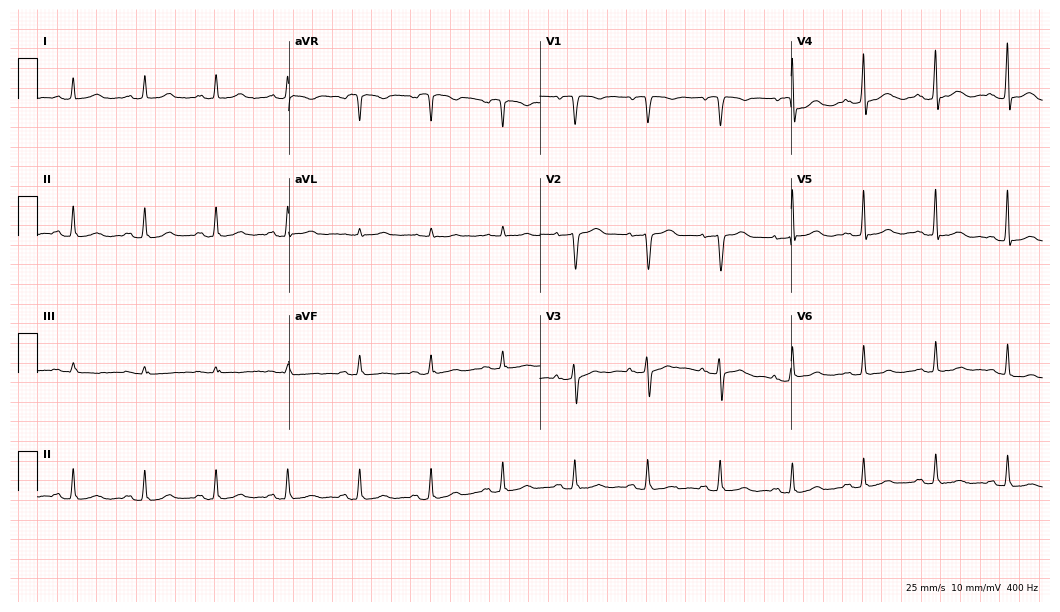
12-lead ECG (10.2-second recording at 400 Hz) from a 75-year-old female patient. Screened for six findings — first-degree AV block, right bundle branch block, left bundle branch block, sinus bradycardia, atrial fibrillation, sinus tachycardia — none is recorded.